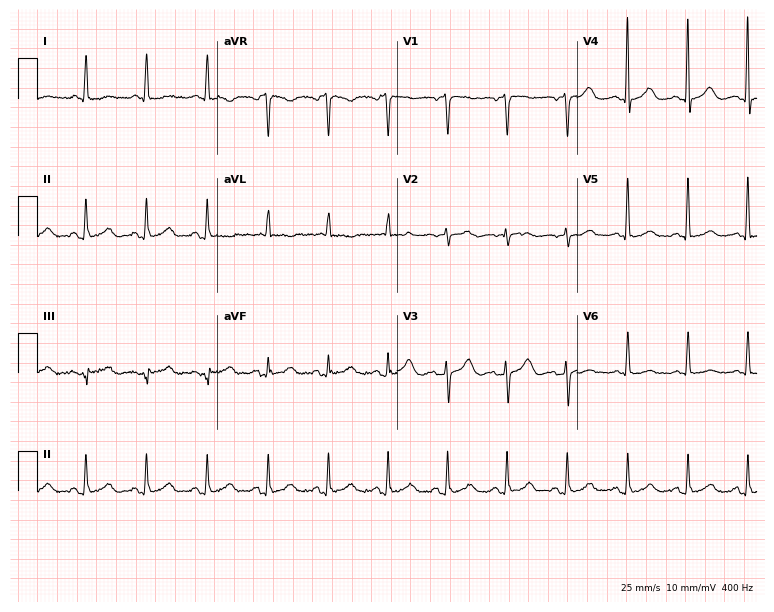
Electrocardiogram (7.3-second recording at 400 Hz), a 61-year-old female. Of the six screened findings (first-degree AV block, right bundle branch block, left bundle branch block, sinus bradycardia, atrial fibrillation, sinus tachycardia), none is recorded.